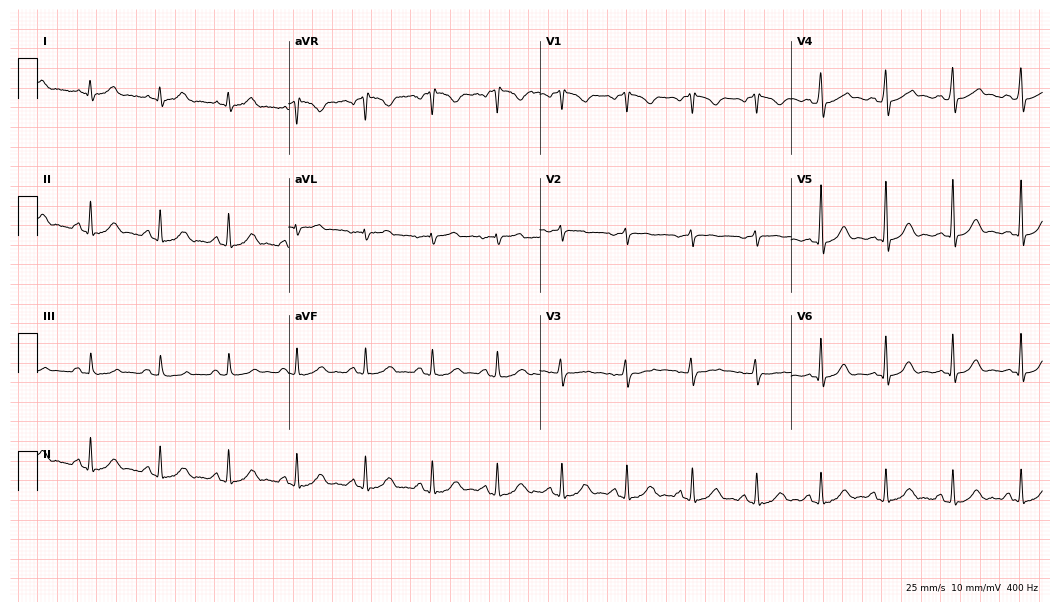
12-lead ECG from a woman, 19 years old. Labelled as a normal ECG.